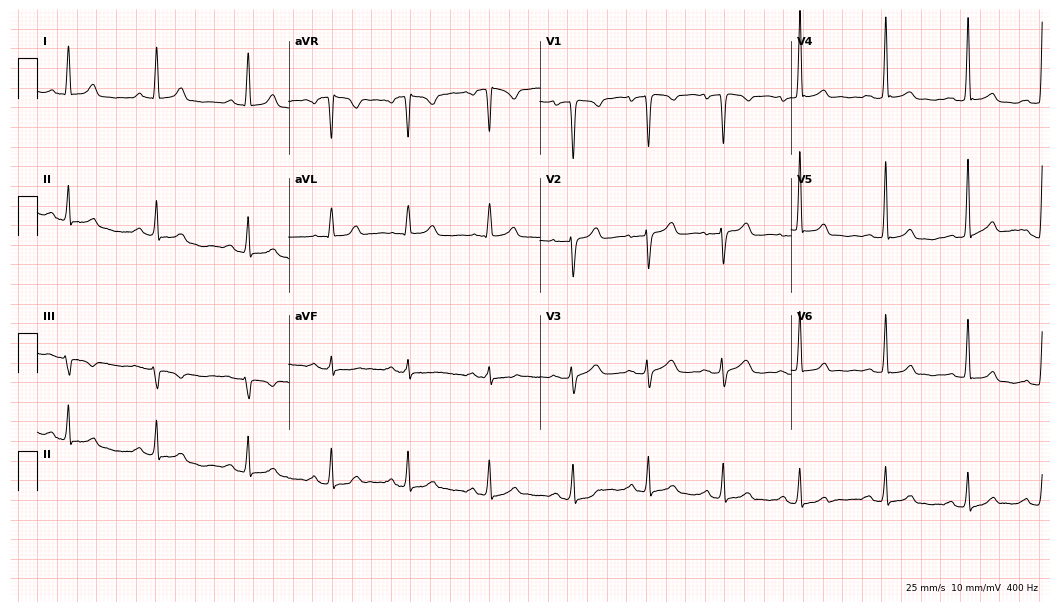
Electrocardiogram, a 45-year-old woman. Of the six screened findings (first-degree AV block, right bundle branch block (RBBB), left bundle branch block (LBBB), sinus bradycardia, atrial fibrillation (AF), sinus tachycardia), none is recorded.